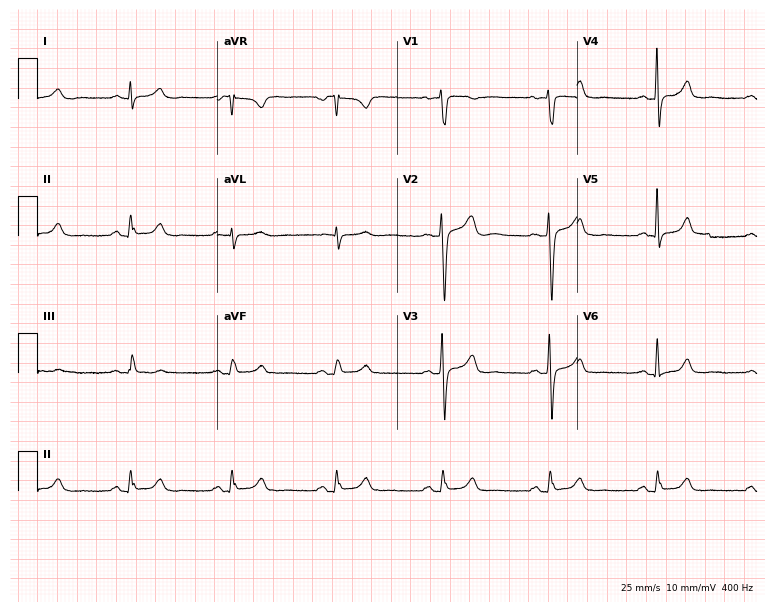
Electrocardiogram (7.3-second recording at 400 Hz), a 46-year-old man. Overall reading on record: normal ECG.